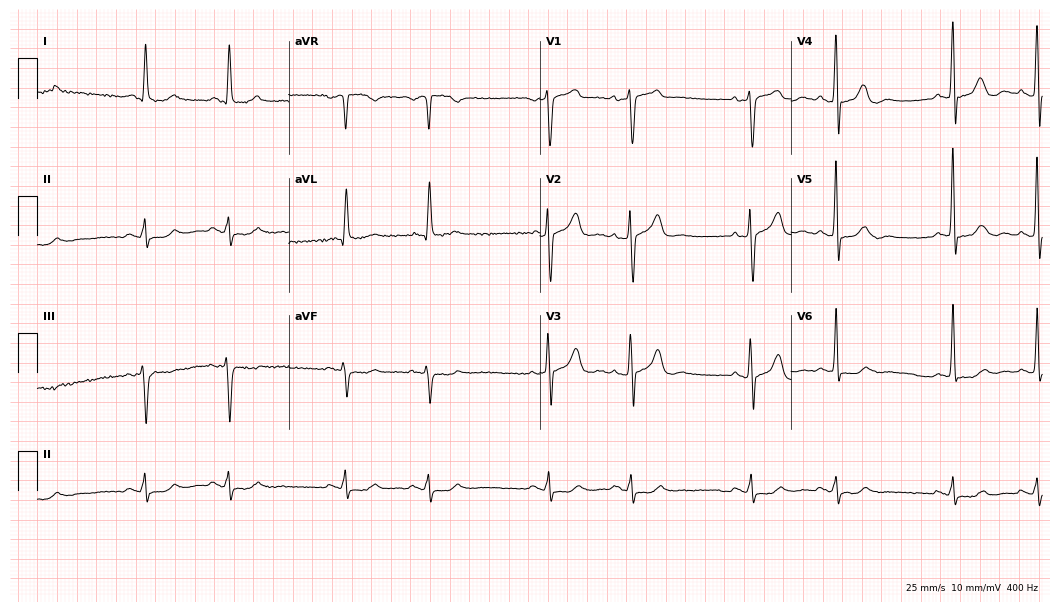
Resting 12-lead electrocardiogram. Patient: a man, 81 years old. None of these six findings is recorded: first-degree AV block, right bundle branch block, left bundle branch block, sinus bradycardia, atrial fibrillation, sinus tachycardia.